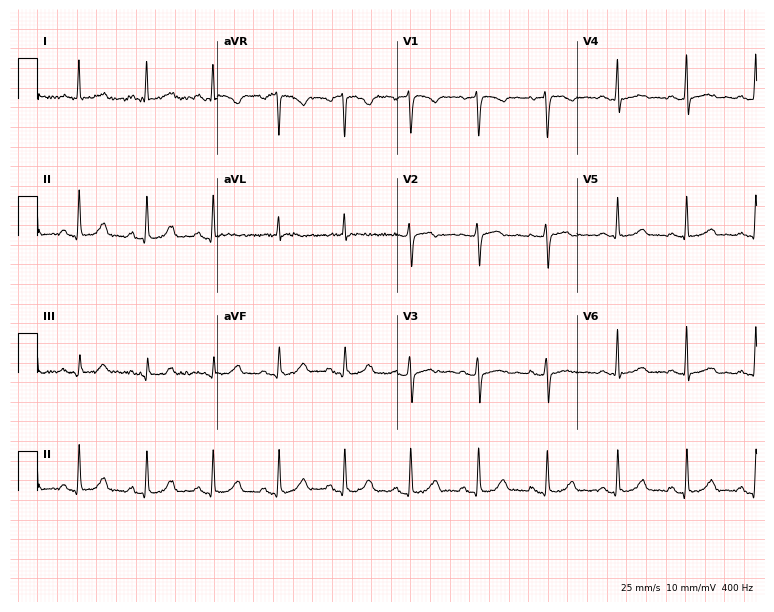
Standard 12-lead ECG recorded from a 50-year-old woman. None of these six findings is recorded: first-degree AV block, right bundle branch block, left bundle branch block, sinus bradycardia, atrial fibrillation, sinus tachycardia. Findings outside these six are not listed.